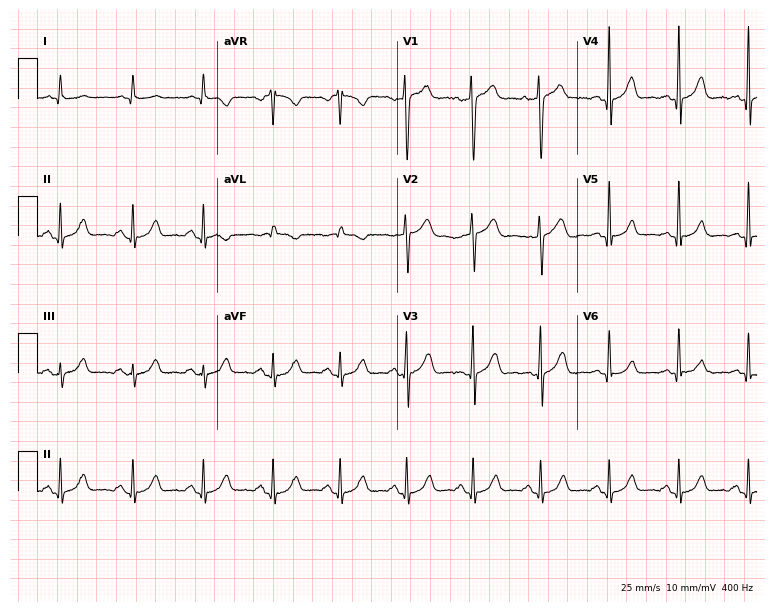
Standard 12-lead ECG recorded from a man, 52 years old (7.3-second recording at 400 Hz). None of these six findings is recorded: first-degree AV block, right bundle branch block, left bundle branch block, sinus bradycardia, atrial fibrillation, sinus tachycardia. Findings outside these six are not listed.